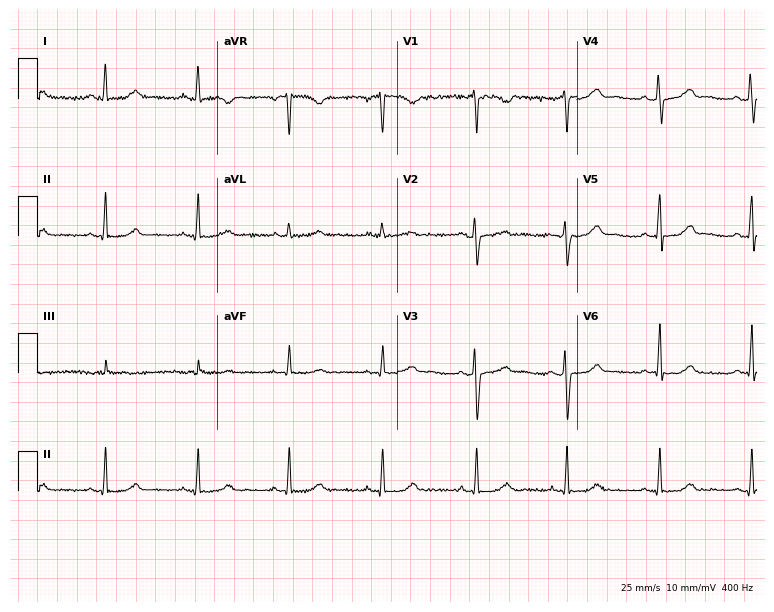
Standard 12-lead ECG recorded from a female patient, 40 years old. Read as a normal ECG.